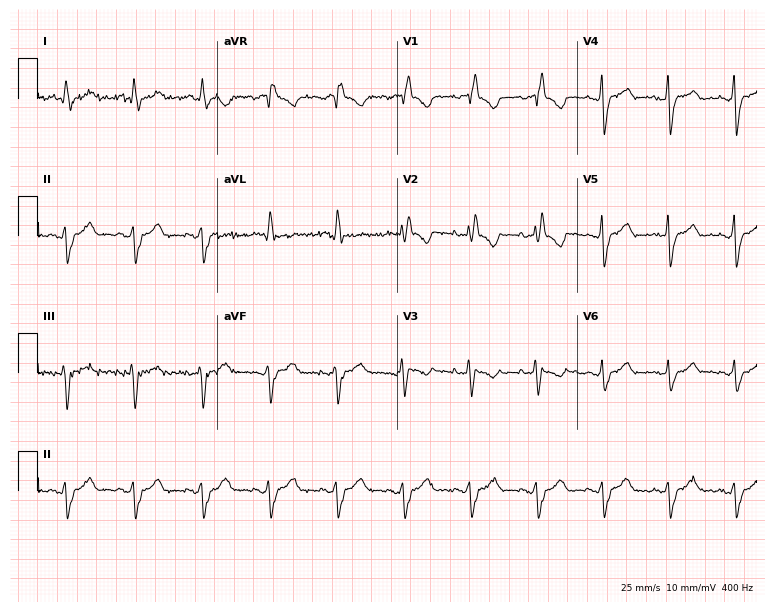
Standard 12-lead ECG recorded from a female, 46 years old (7.3-second recording at 400 Hz). The tracing shows right bundle branch block.